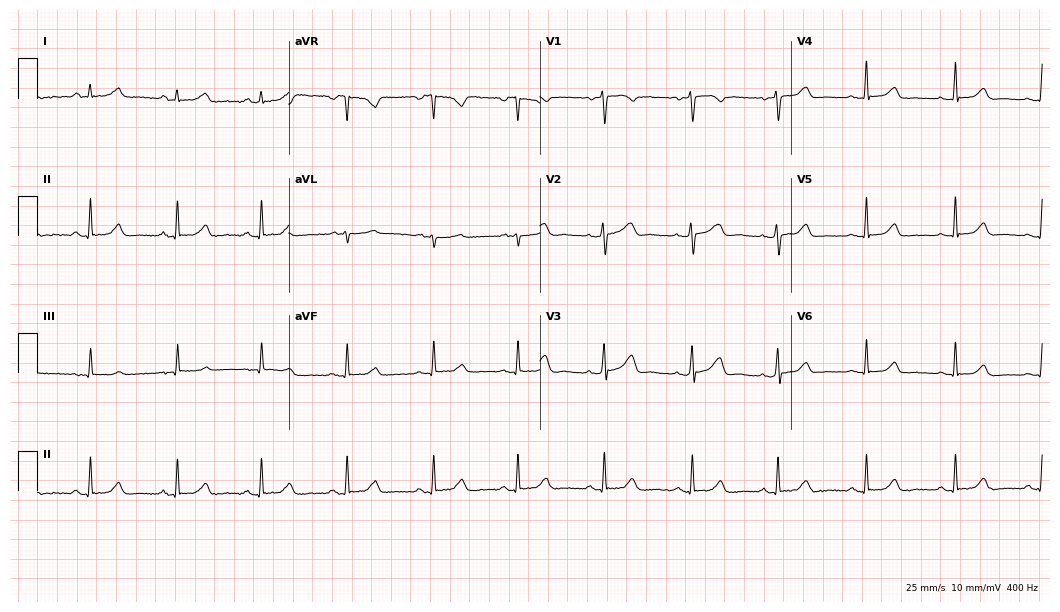
Electrocardiogram (10.2-second recording at 400 Hz), a 47-year-old female. Overall reading on record: normal ECG.